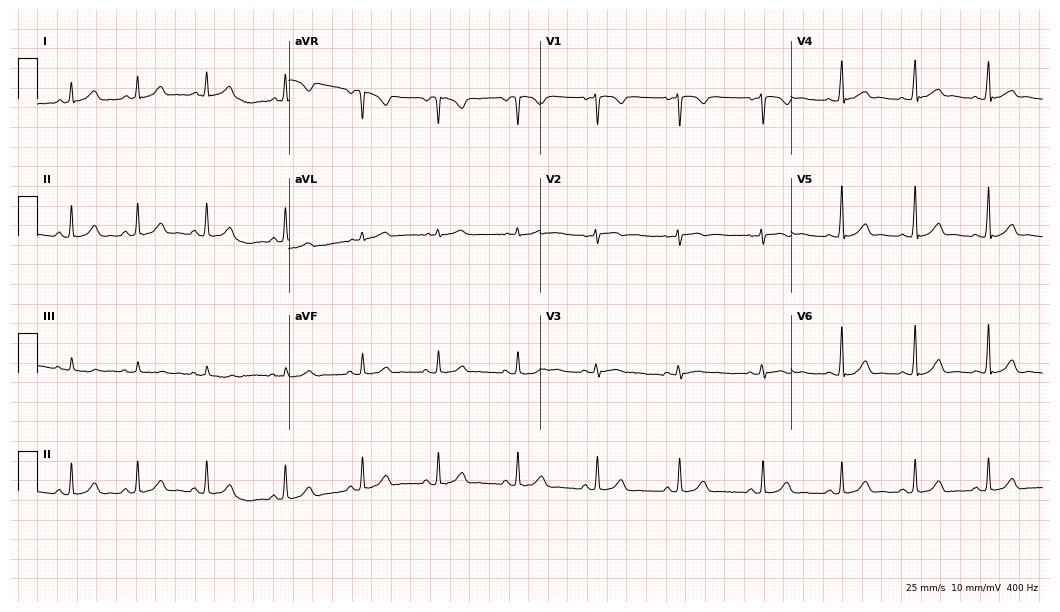
Electrocardiogram, a female patient, 20 years old. Overall reading on record: normal ECG.